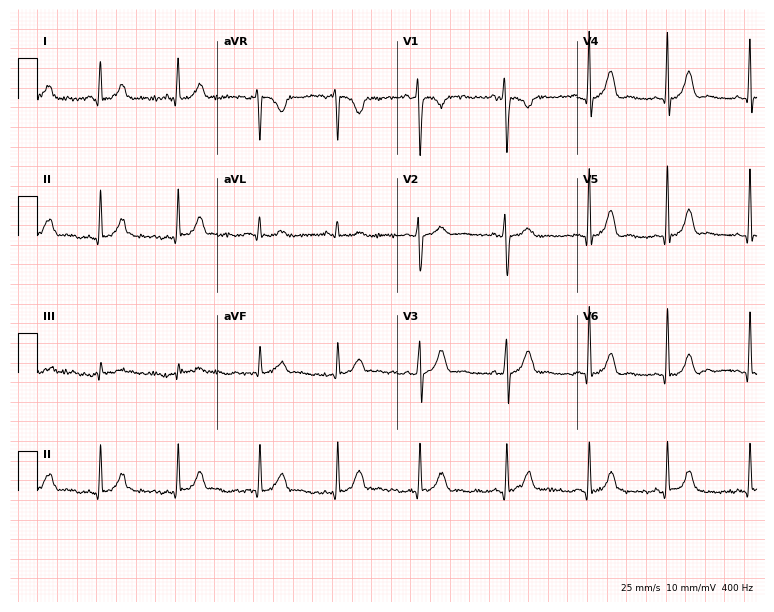
Electrocardiogram (7.3-second recording at 400 Hz), a 26-year-old woman. Overall reading on record: normal ECG.